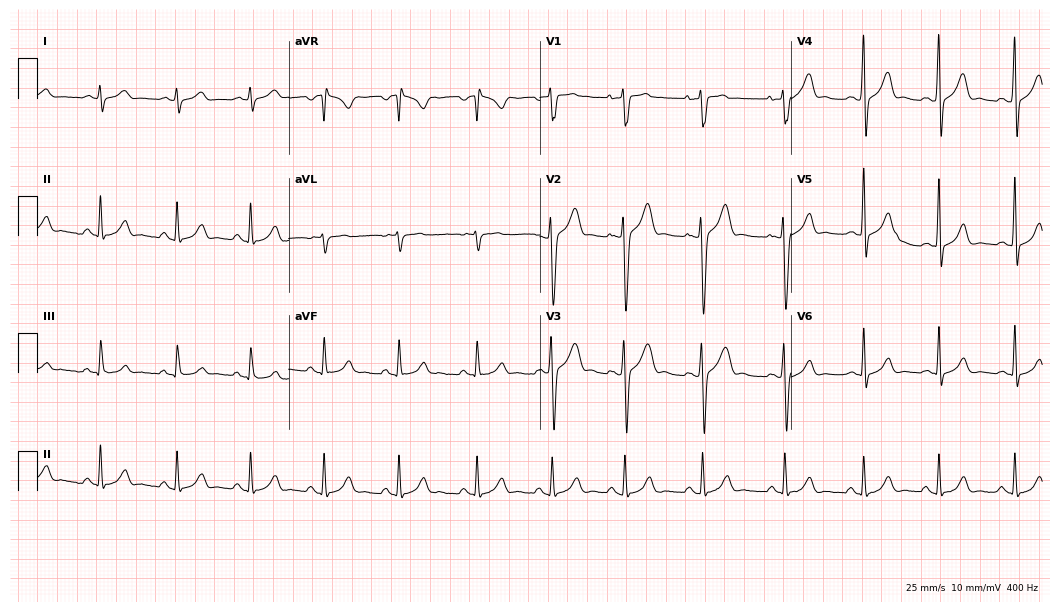
ECG — a 21-year-old male. Labelled as a normal ECG.